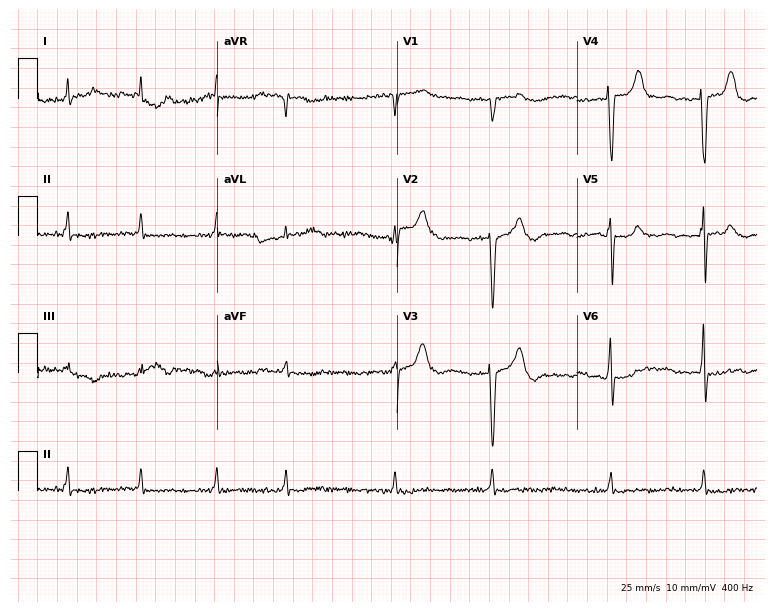
Standard 12-lead ECG recorded from an 84-year-old female patient. The tracing shows atrial fibrillation.